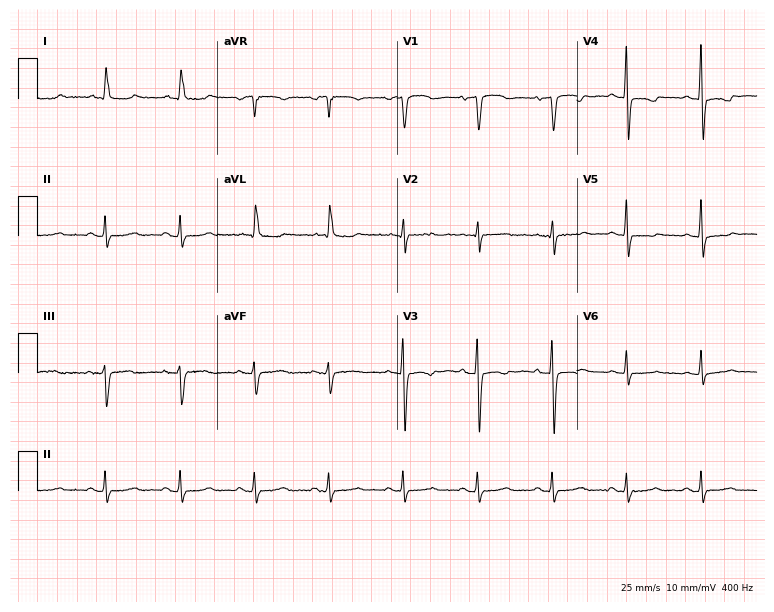
12-lead ECG from a 69-year-old female (7.3-second recording at 400 Hz). No first-degree AV block, right bundle branch block, left bundle branch block, sinus bradycardia, atrial fibrillation or sinus tachycardia recorded for this tracing.